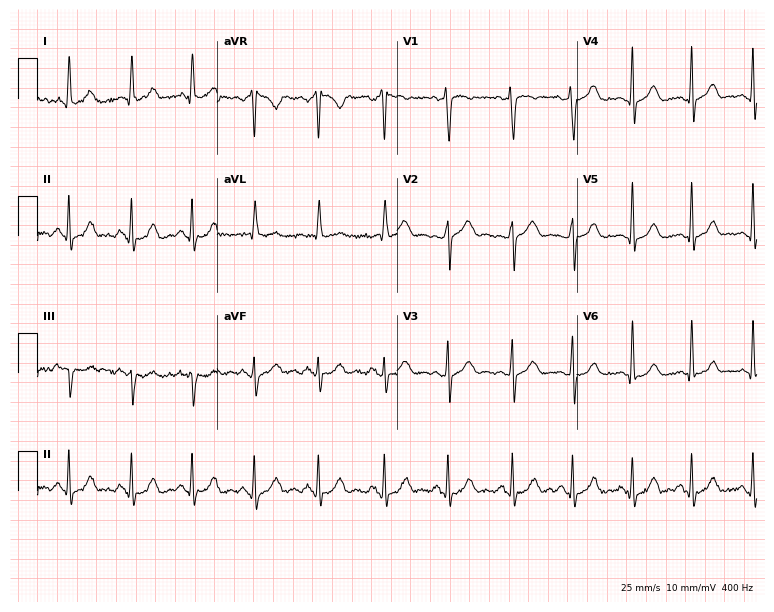
Electrocardiogram (7.3-second recording at 400 Hz), a 37-year-old woman. Overall reading on record: normal ECG.